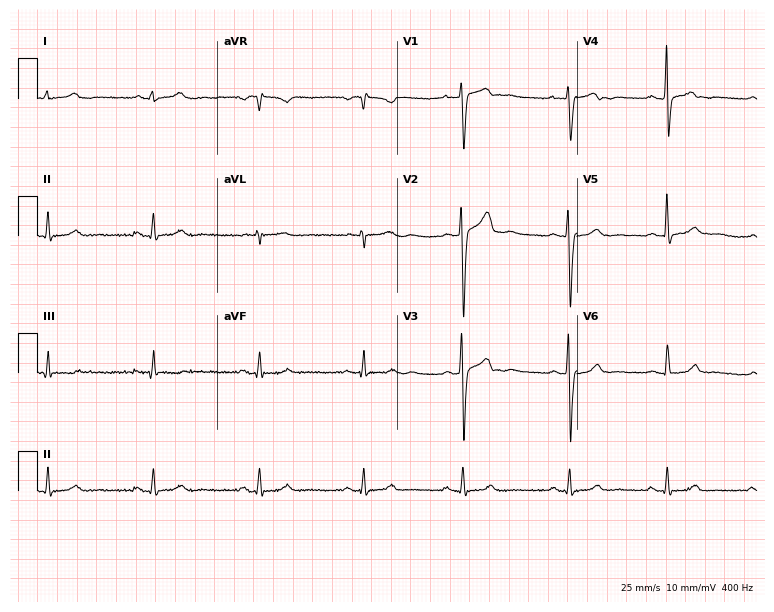
Resting 12-lead electrocardiogram (7.3-second recording at 400 Hz). Patient: a female, 29 years old. None of these six findings is recorded: first-degree AV block, right bundle branch block, left bundle branch block, sinus bradycardia, atrial fibrillation, sinus tachycardia.